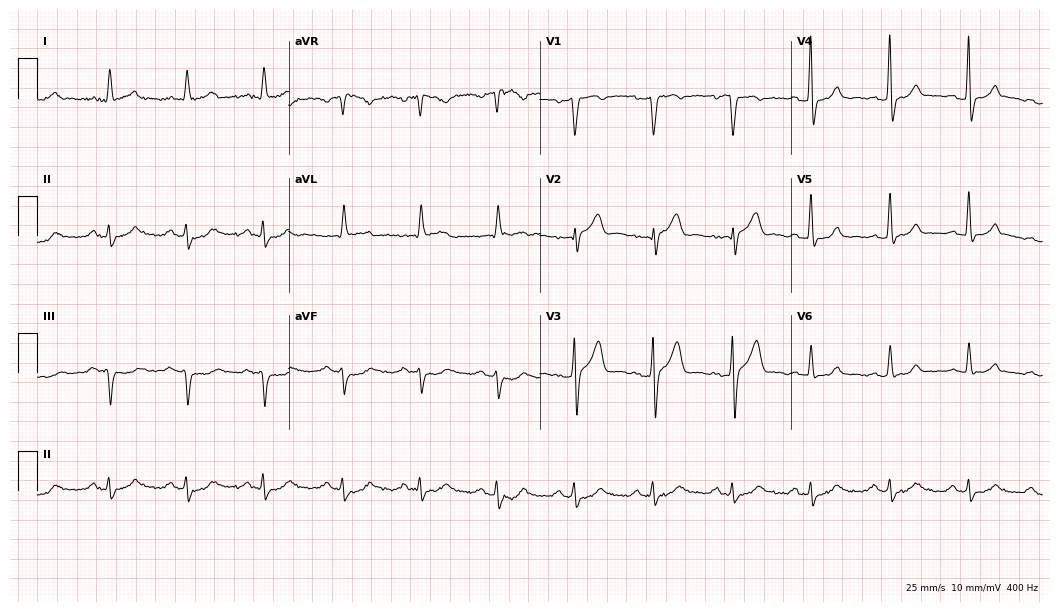
Standard 12-lead ECG recorded from a male patient, 73 years old (10.2-second recording at 400 Hz). Read as a normal ECG.